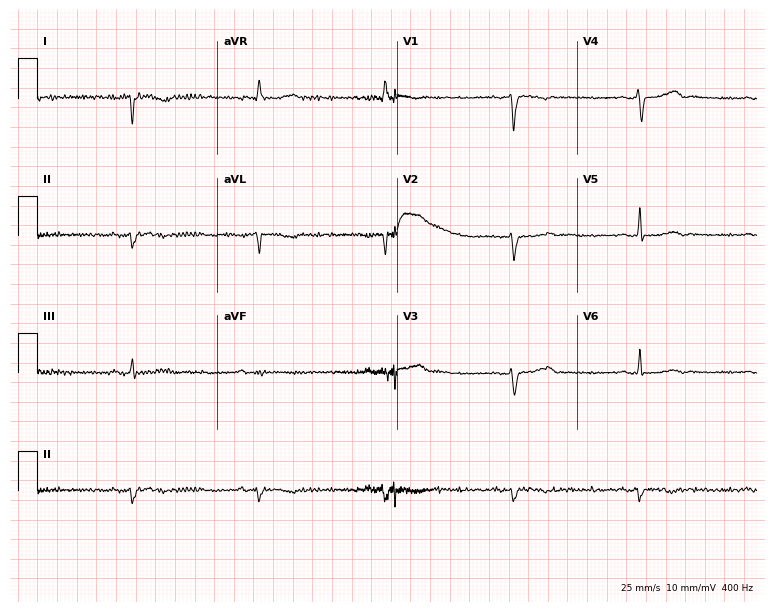
ECG (7.3-second recording at 400 Hz) — an 80-year-old female patient. Screened for six findings — first-degree AV block, right bundle branch block (RBBB), left bundle branch block (LBBB), sinus bradycardia, atrial fibrillation (AF), sinus tachycardia — none is recorded.